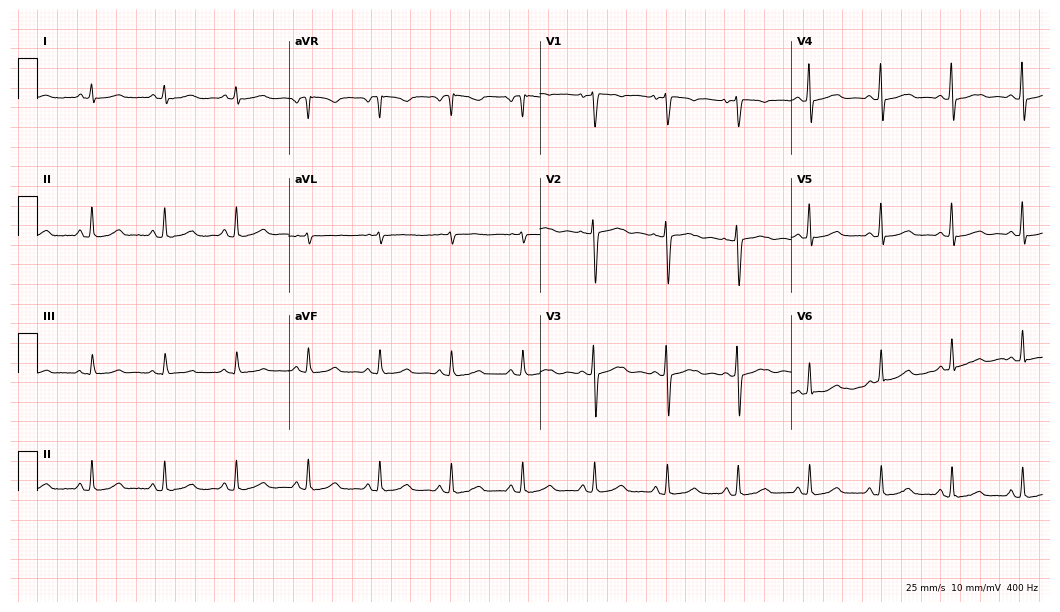
Standard 12-lead ECG recorded from a female, 55 years old. None of these six findings is recorded: first-degree AV block, right bundle branch block, left bundle branch block, sinus bradycardia, atrial fibrillation, sinus tachycardia.